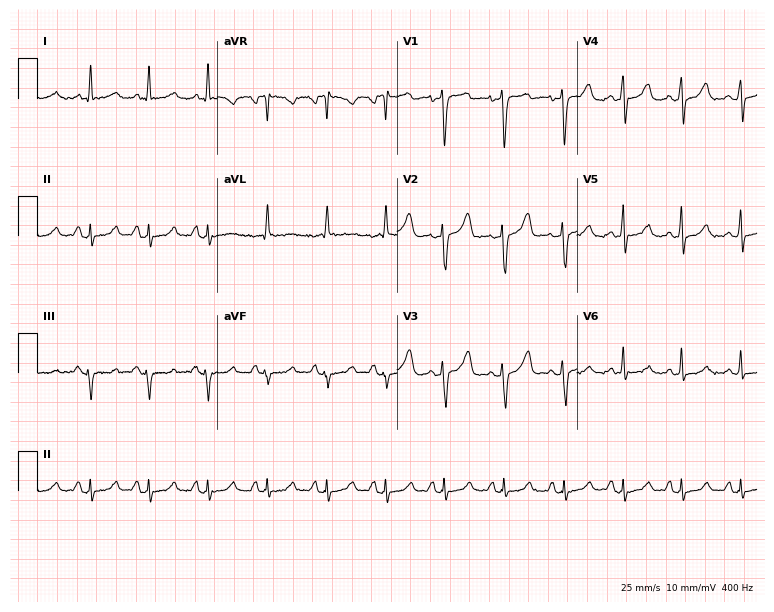
ECG (7.3-second recording at 400 Hz) — a woman, 38 years old. Labelled as a normal ECG.